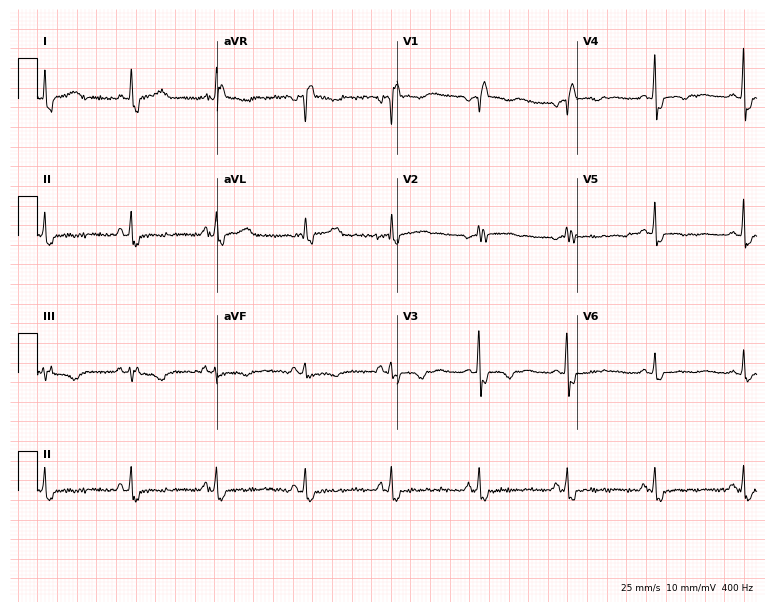
ECG (7.3-second recording at 400 Hz) — a woman, 47 years old. Findings include right bundle branch block.